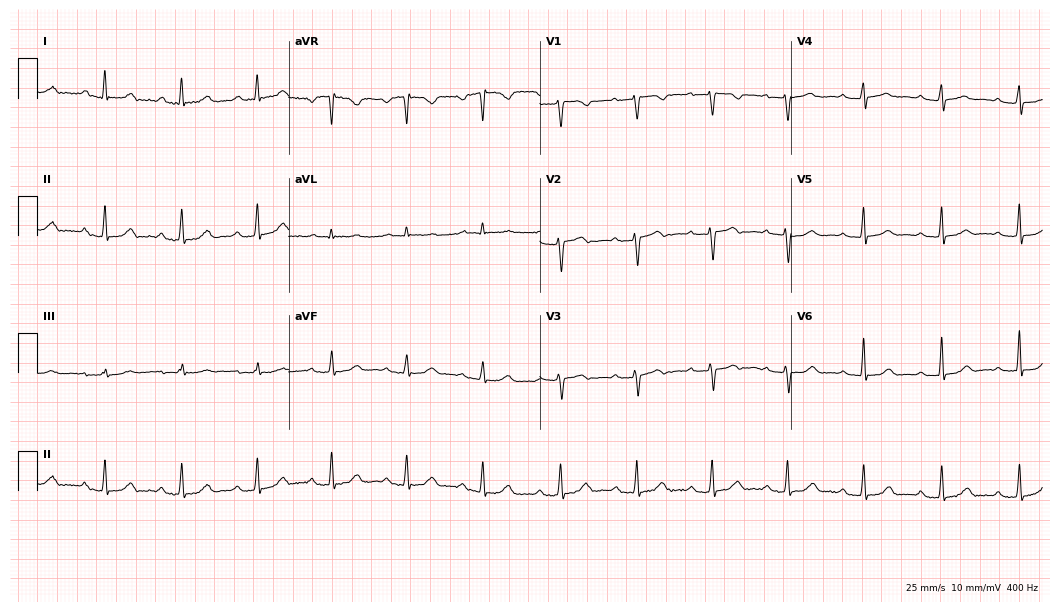
Resting 12-lead electrocardiogram (10.2-second recording at 400 Hz). Patient: a female, 52 years old. The tracing shows first-degree AV block.